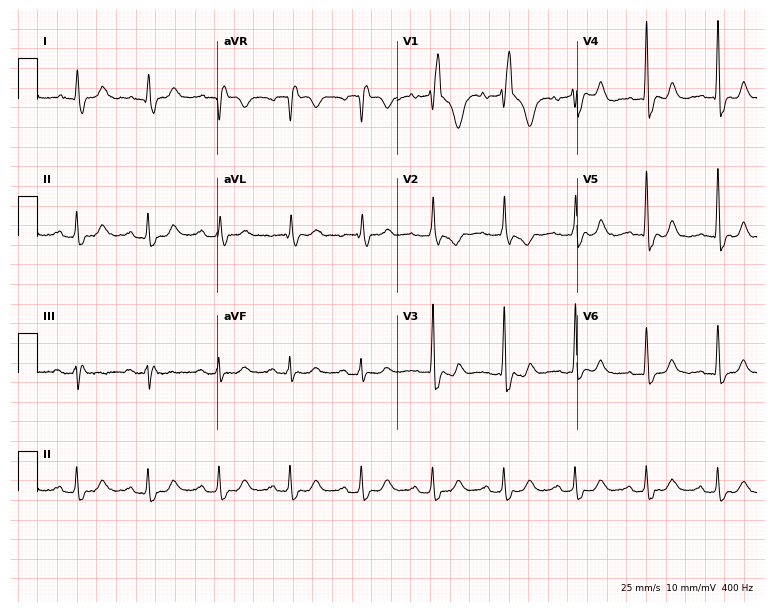
Resting 12-lead electrocardiogram (7.3-second recording at 400 Hz). Patient: a female, 58 years old. The tracing shows first-degree AV block, right bundle branch block.